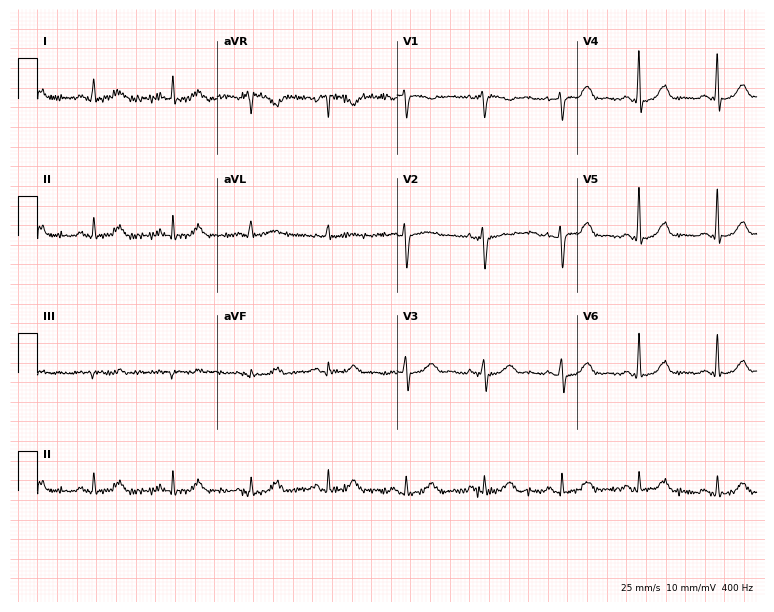
Electrocardiogram, a woman, 52 years old. Overall reading on record: normal ECG.